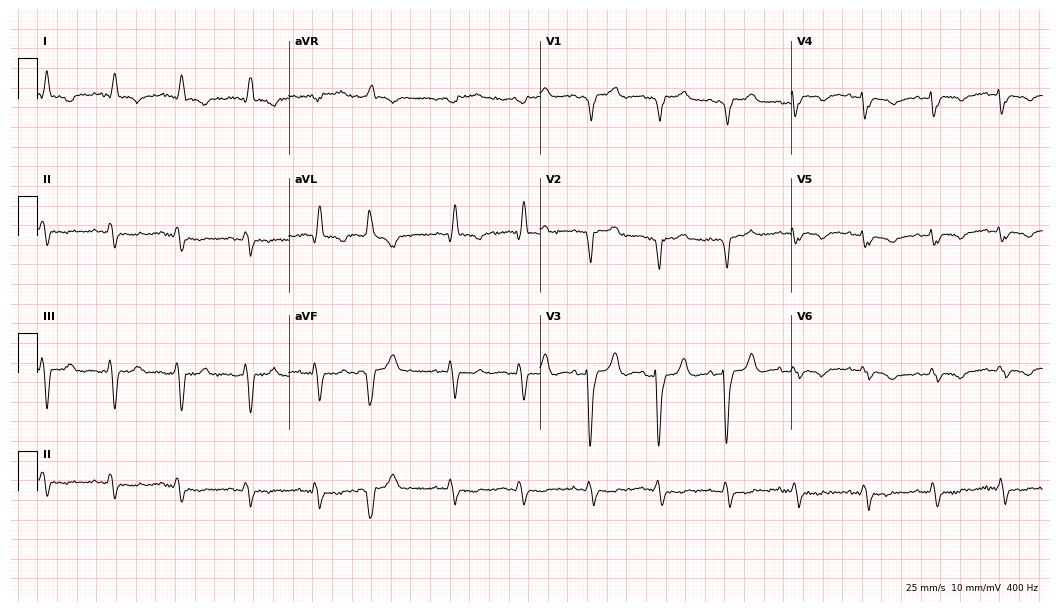
Resting 12-lead electrocardiogram (10.2-second recording at 400 Hz). Patient: an 82-year-old woman. None of these six findings is recorded: first-degree AV block, right bundle branch block, left bundle branch block, sinus bradycardia, atrial fibrillation, sinus tachycardia.